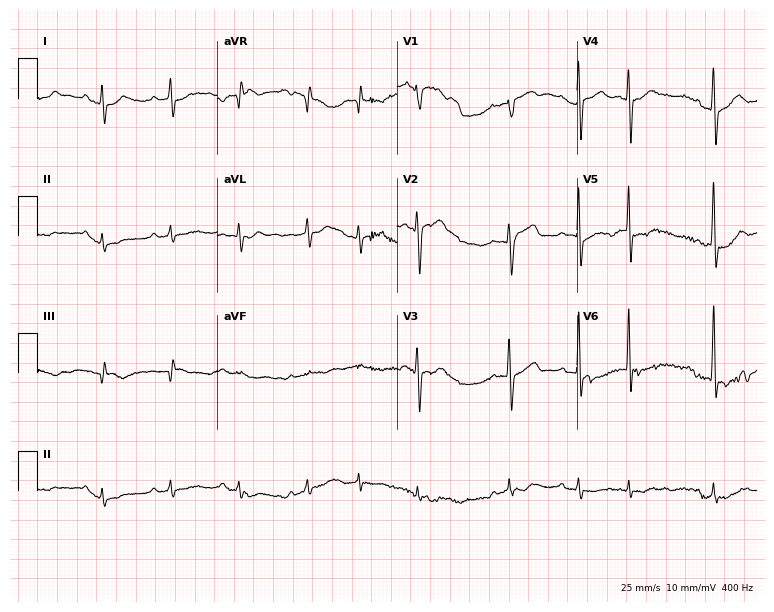
Standard 12-lead ECG recorded from a 79-year-old male (7.3-second recording at 400 Hz). None of these six findings is recorded: first-degree AV block, right bundle branch block (RBBB), left bundle branch block (LBBB), sinus bradycardia, atrial fibrillation (AF), sinus tachycardia. Other findings, if any, are not listed.